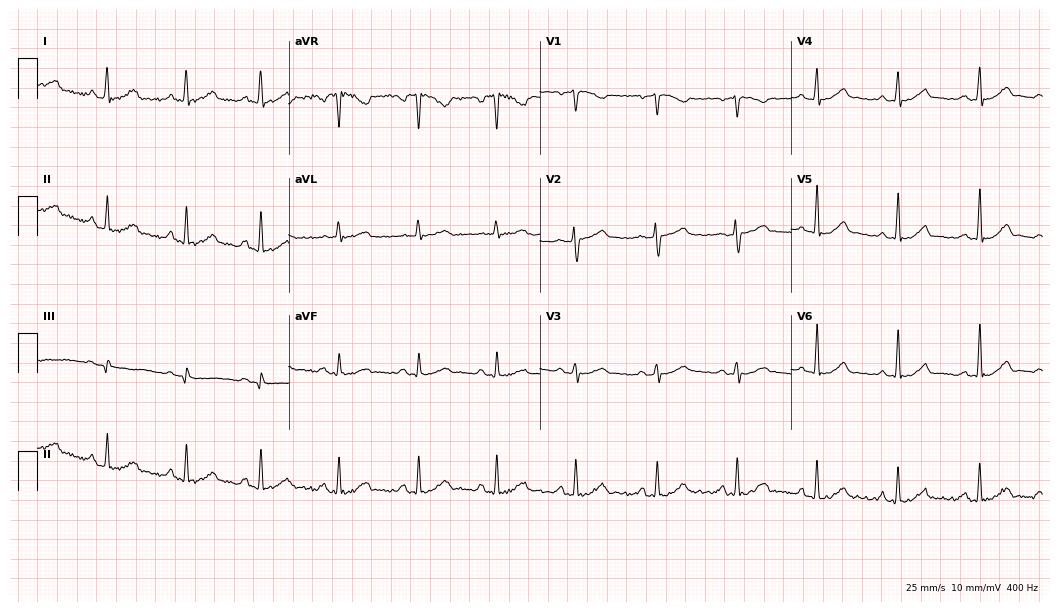
Resting 12-lead electrocardiogram (10.2-second recording at 400 Hz). Patient: a 34-year-old female. Read as a normal ECG.